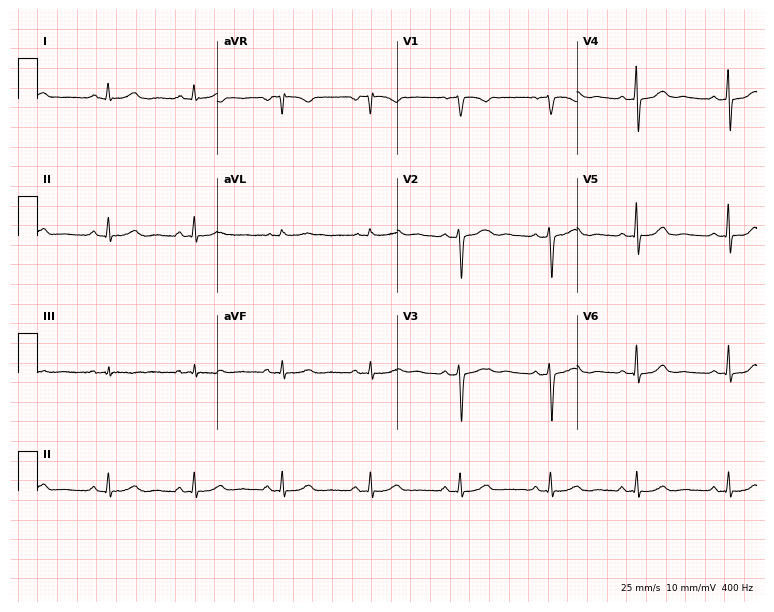
Electrocardiogram (7.3-second recording at 400 Hz), a 34-year-old woman. Overall reading on record: normal ECG.